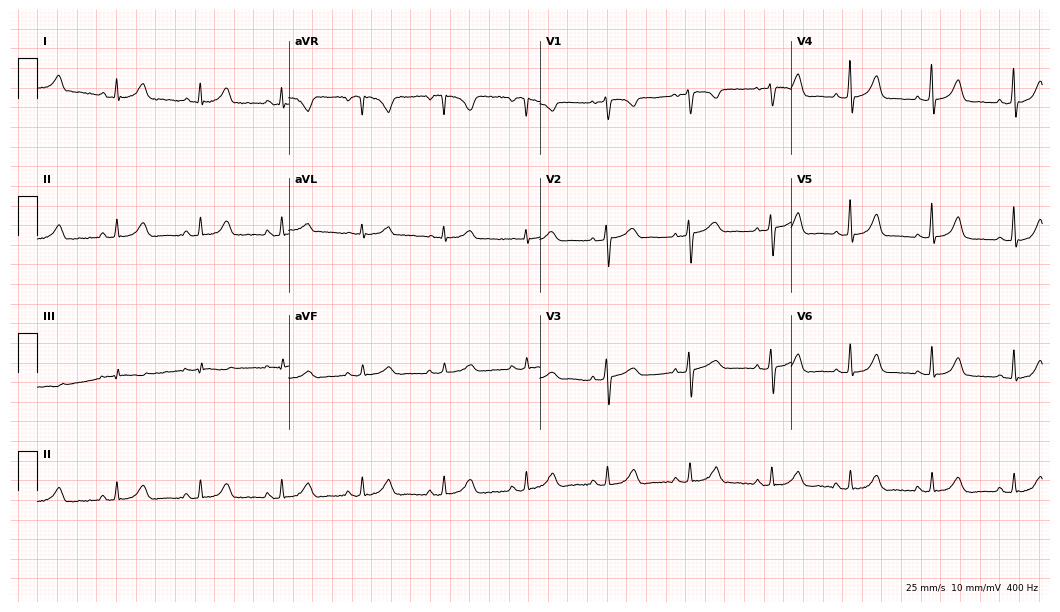
Resting 12-lead electrocardiogram (10.2-second recording at 400 Hz). Patient: a female, 48 years old. Read as a normal ECG.